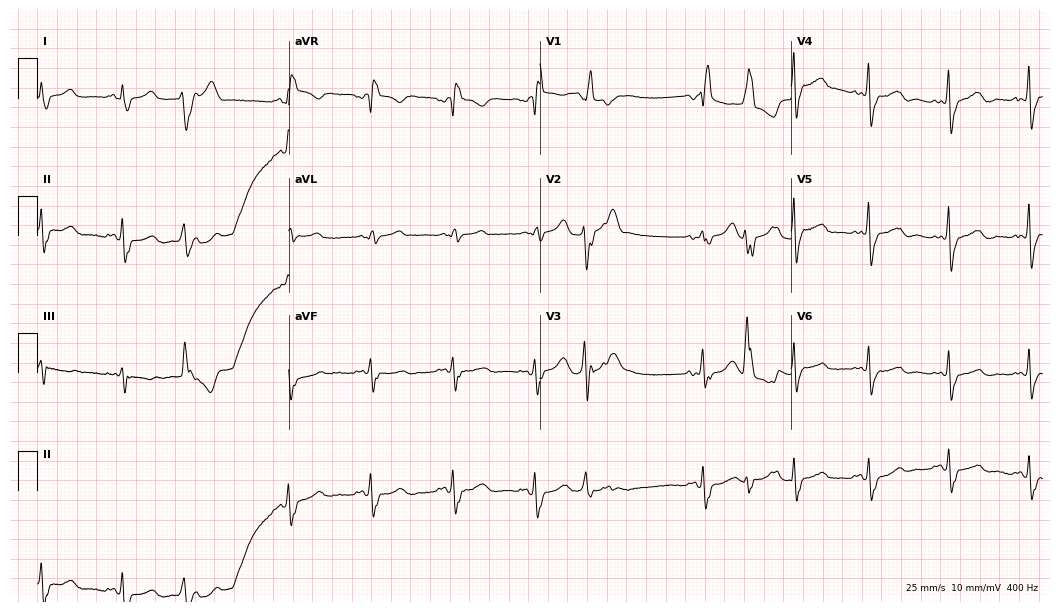
Electrocardiogram, a female patient, 85 years old. Interpretation includes right bundle branch block.